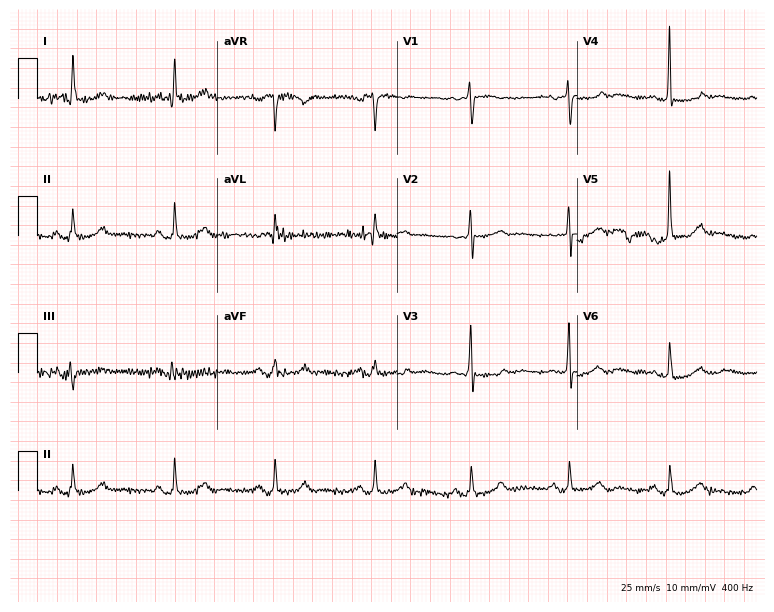
Resting 12-lead electrocardiogram (7.3-second recording at 400 Hz). Patient: a 71-year-old female. Read as a normal ECG.